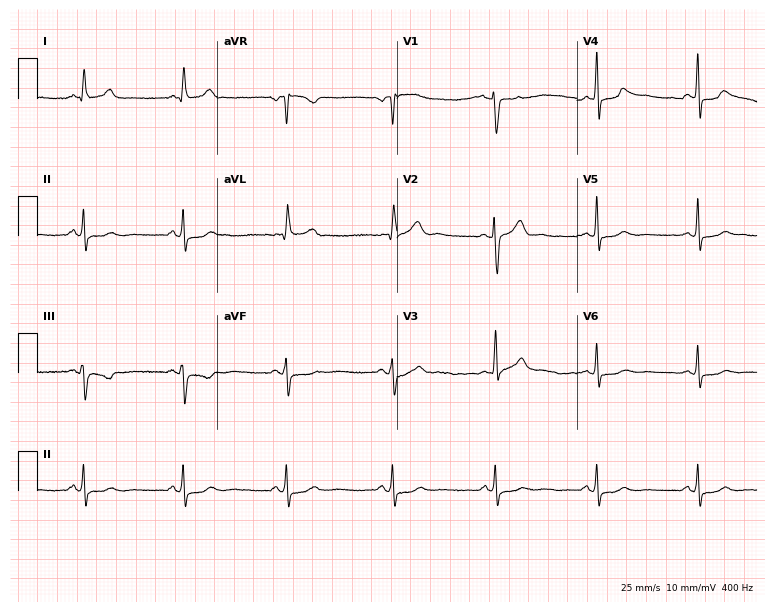
Resting 12-lead electrocardiogram (7.3-second recording at 400 Hz). Patient: a 44-year-old male. Read as a normal ECG.